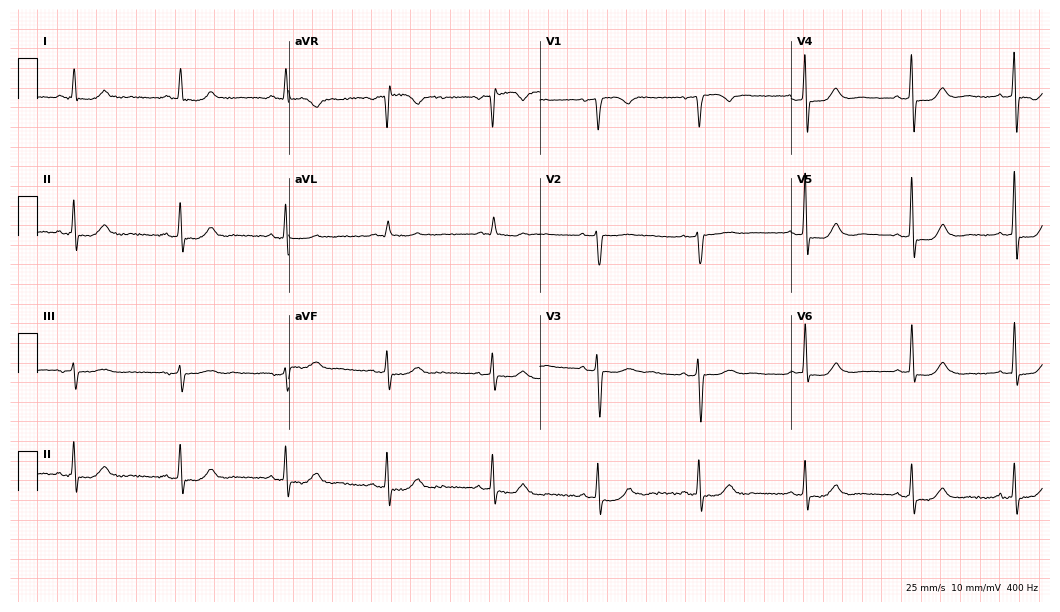
Standard 12-lead ECG recorded from an 81-year-old female. Read as a normal ECG.